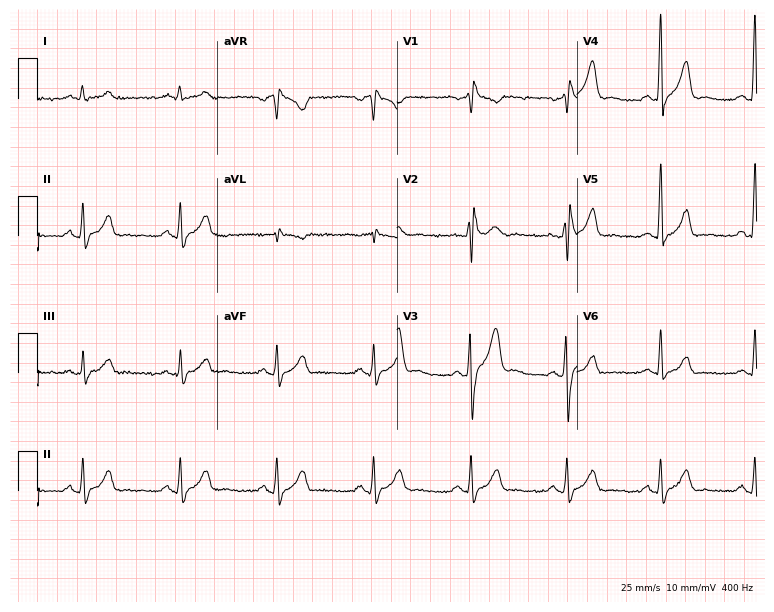
Standard 12-lead ECG recorded from a 48-year-old male. None of these six findings is recorded: first-degree AV block, right bundle branch block, left bundle branch block, sinus bradycardia, atrial fibrillation, sinus tachycardia. Only these six findings were labelled.